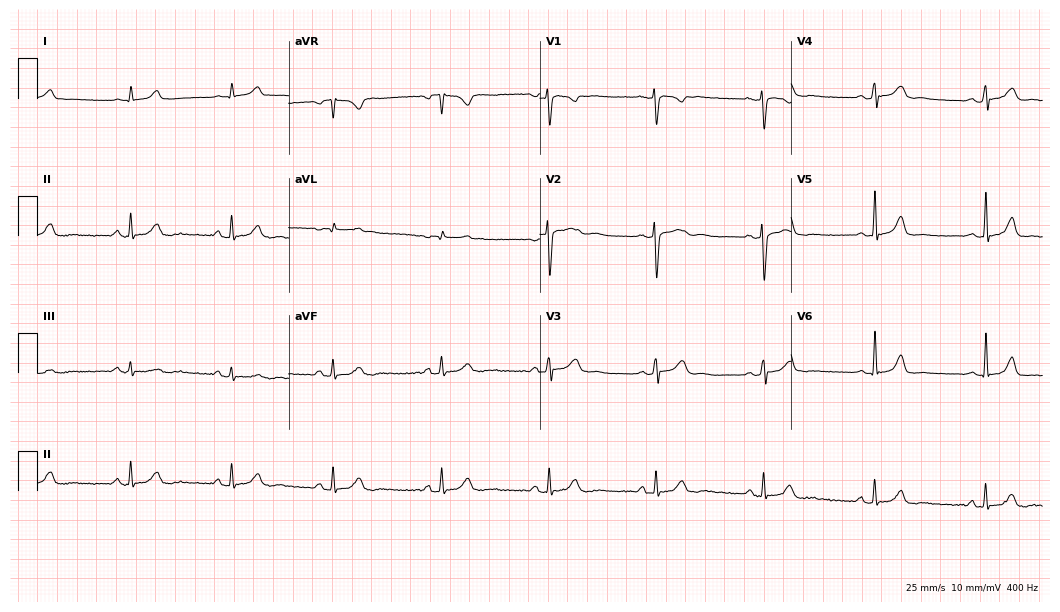
Resting 12-lead electrocardiogram. Patient: a 26-year-old woman. Read as a normal ECG.